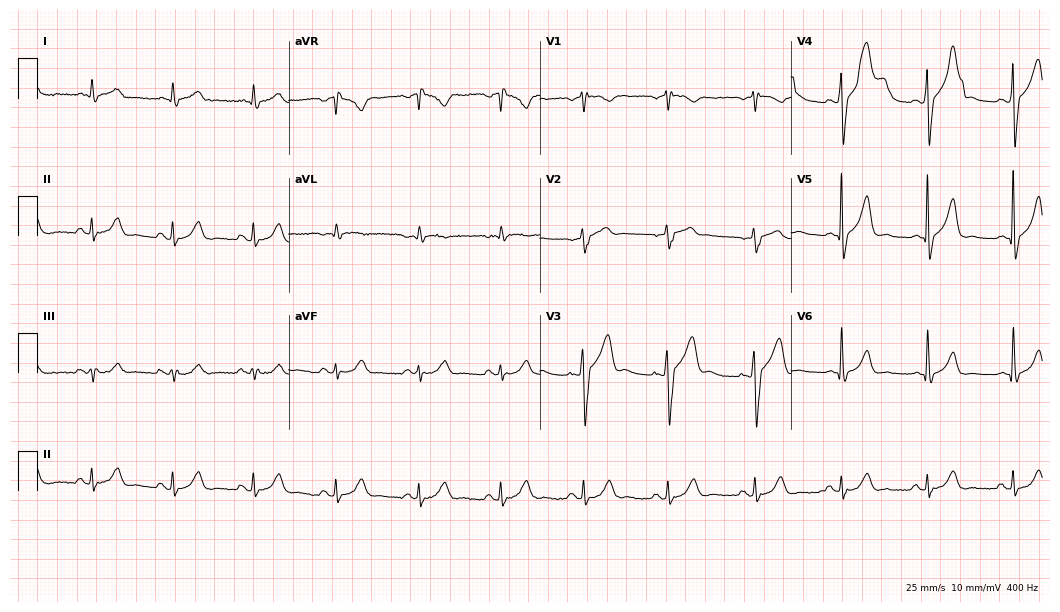
ECG — a male patient, 66 years old. Labelled as a normal ECG.